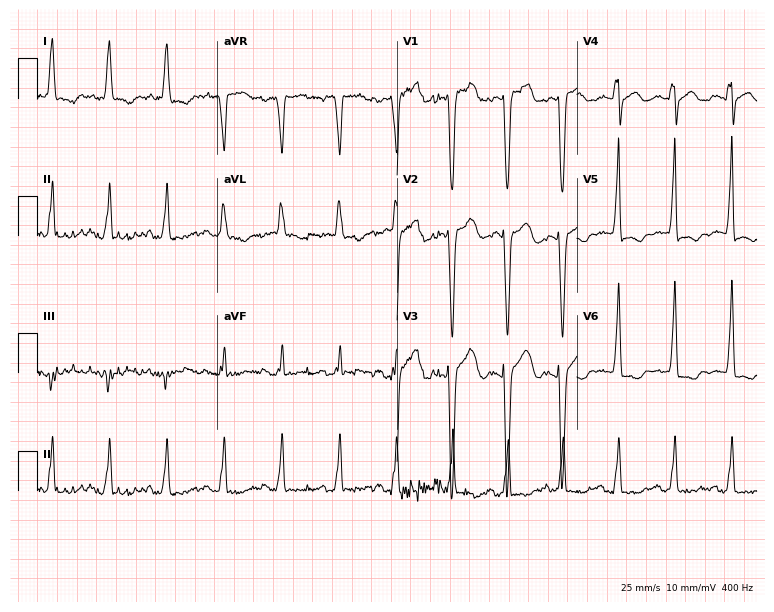
Resting 12-lead electrocardiogram (7.3-second recording at 400 Hz). Patient: a female, 79 years old. None of these six findings is recorded: first-degree AV block, right bundle branch block, left bundle branch block, sinus bradycardia, atrial fibrillation, sinus tachycardia. Findings outside these six are not listed.